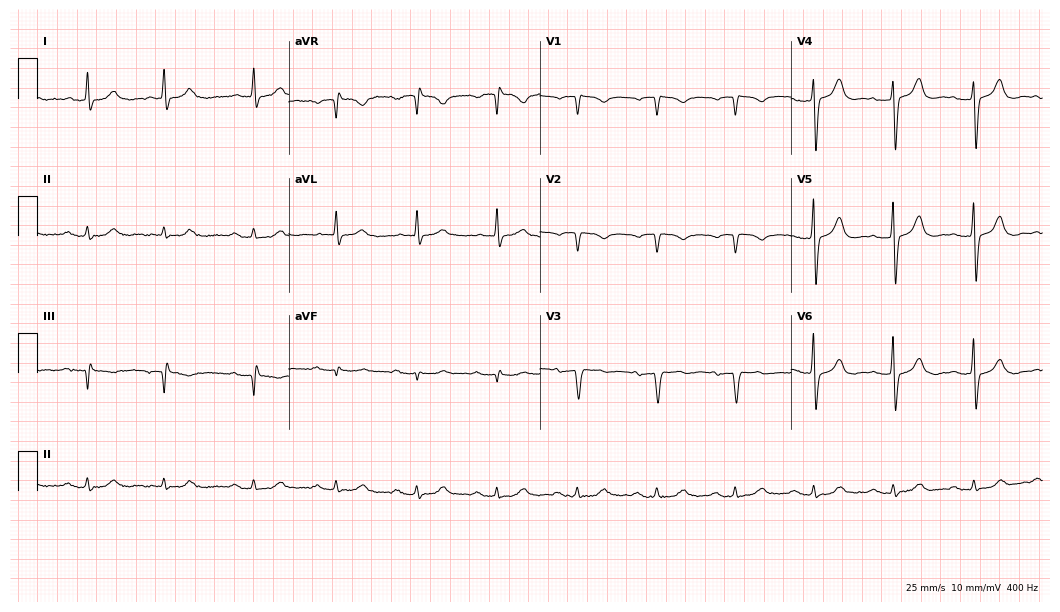
Standard 12-lead ECG recorded from a male, 83 years old. None of these six findings is recorded: first-degree AV block, right bundle branch block, left bundle branch block, sinus bradycardia, atrial fibrillation, sinus tachycardia. Findings outside these six are not listed.